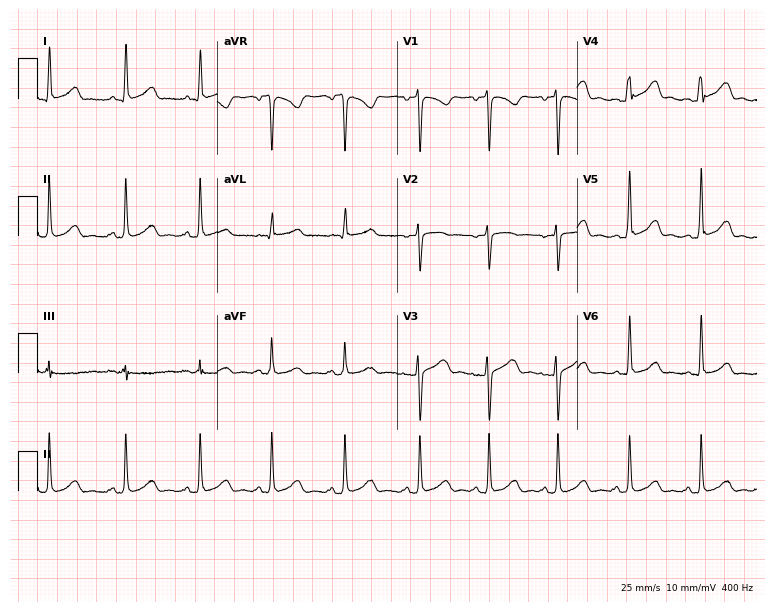
Resting 12-lead electrocardiogram. Patient: a 34-year-old female. None of these six findings is recorded: first-degree AV block, right bundle branch block (RBBB), left bundle branch block (LBBB), sinus bradycardia, atrial fibrillation (AF), sinus tachycardia. Only these six findings were labelled.